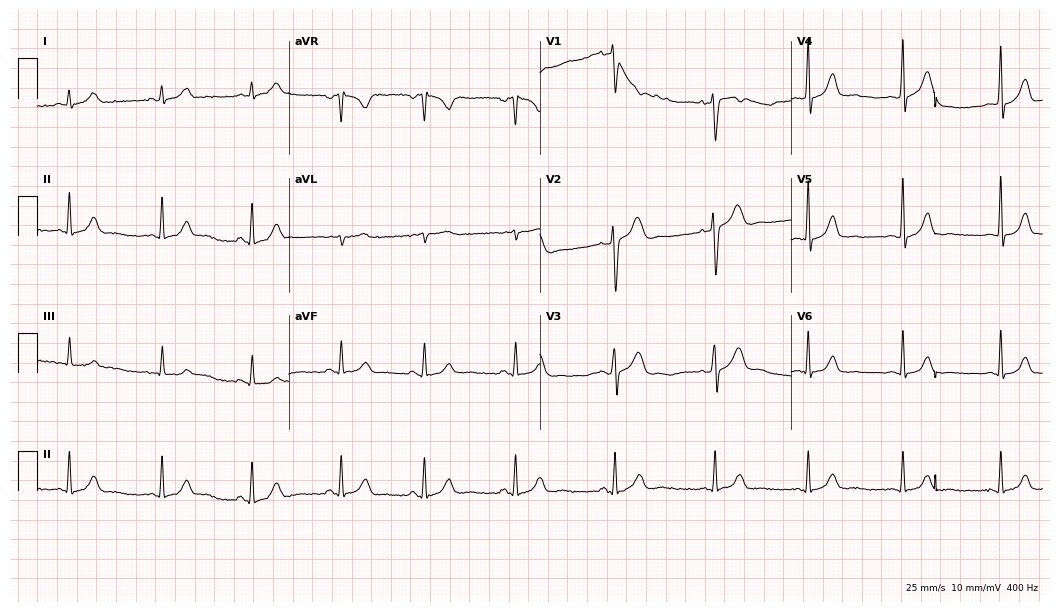
Electrocardiogram (10.2-second recording at 400 Hz), a 45-year-old female patient. Overall reading on record: normal ECG.